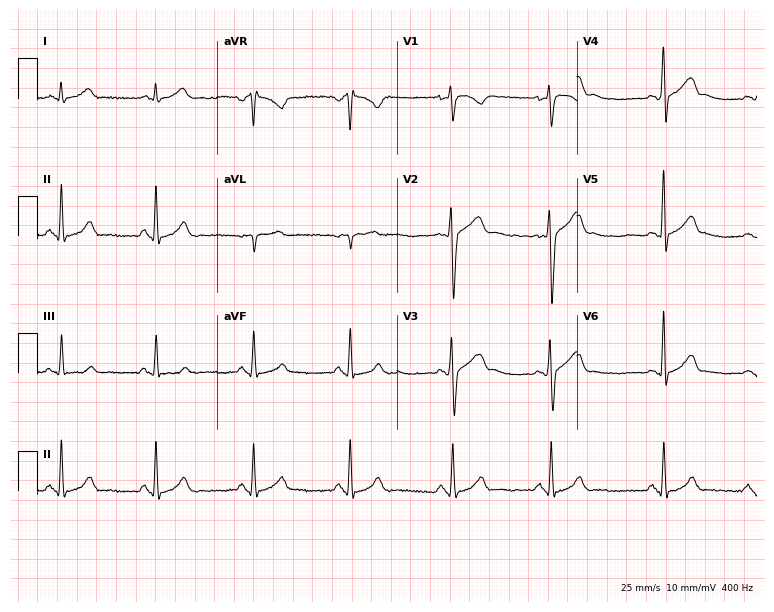
ECG (7.3-second recording at 400 Hz) — a 23-year-old man. Labelled as a normal ECG.